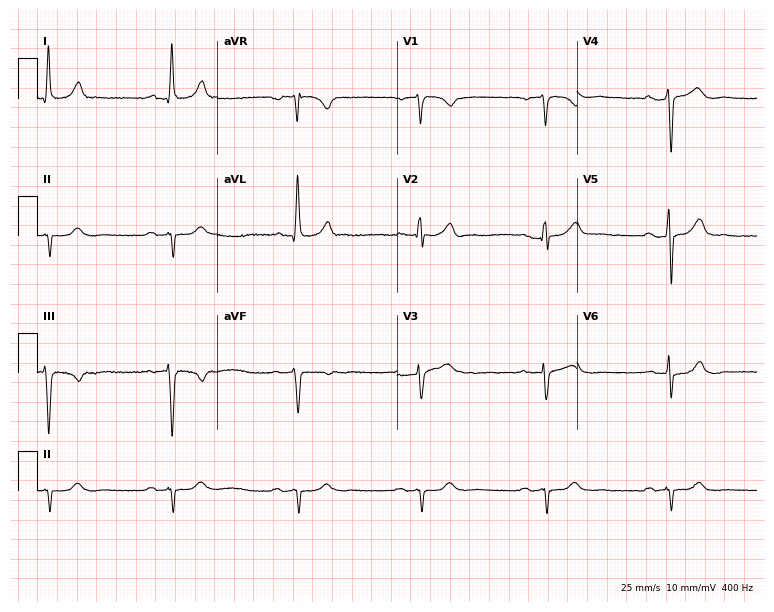
Resting 12-lead electrocardiogram (7.3-second recording at 400 Hz). Patient: an 82-year-old male. The tracing shows first-degree AV block, sinus bradycardia (a sinus rate of 50 beats per minute or less).